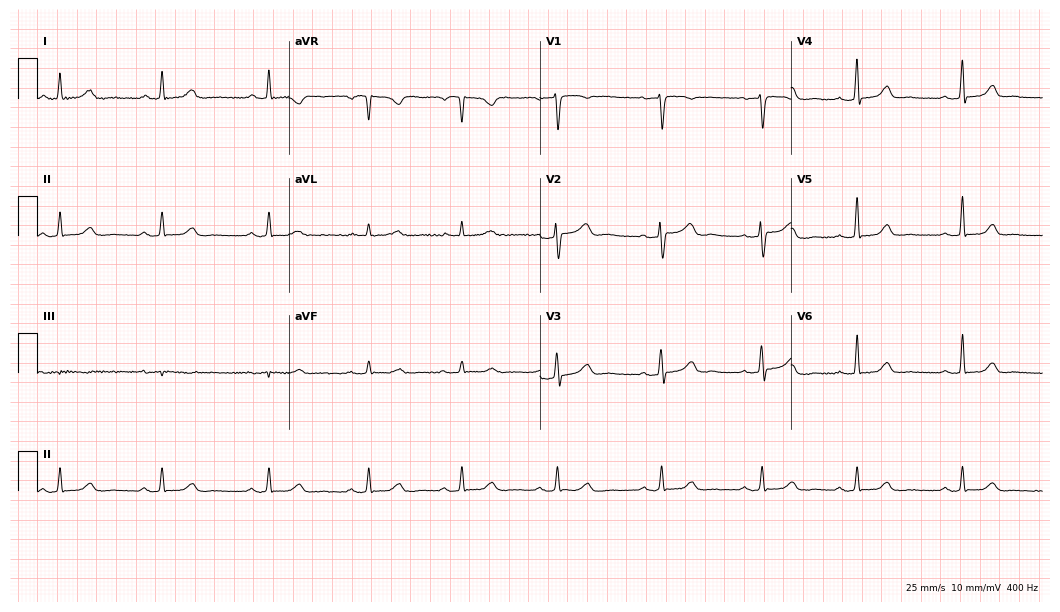
12-lead ECG from a 53-year-old female (10.2-second recording at 400 Hz). No first-degree AV block, right bundle branch block, left bundle branch block, sinus bradycardia, atrial fibrillation or sinus tachycardia recorded for this tracing.